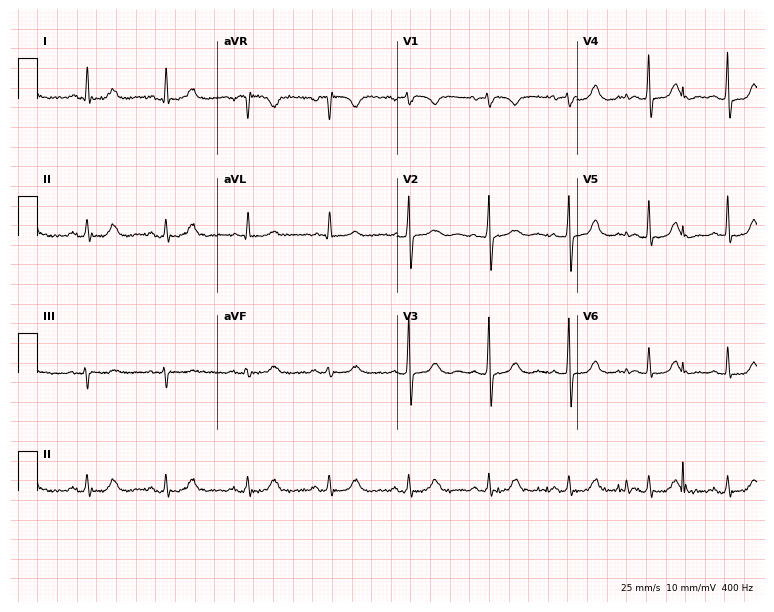
Resting 12-lead electrocardiogram (7.3-second recording at 400 Hz). Patient: a woman, 69 years old. None of these six findings is recorded: first-degree AV block, right bundle branch block, left bundle branch block, sinus bradycardia, atrial fibrillation, sinus tachycardia.